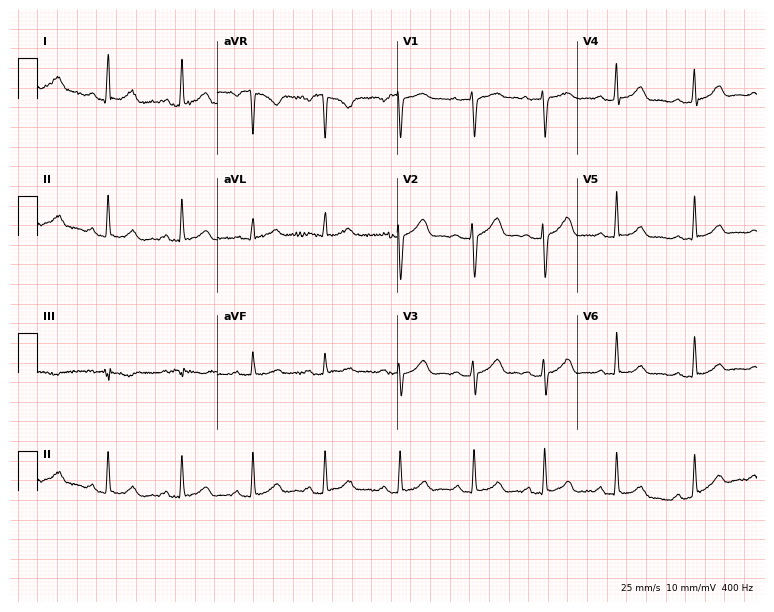
Standard 12-lead ECG recorded from a female patient, 23 years old. Read as a normal ECG.